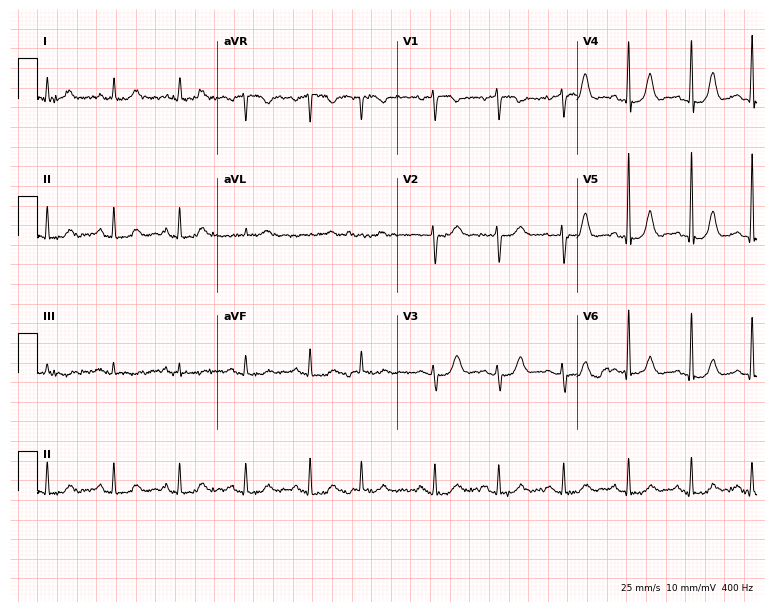
12-lead ECG from a woman, 73 years old. Recorded interpretation: within normal limits.